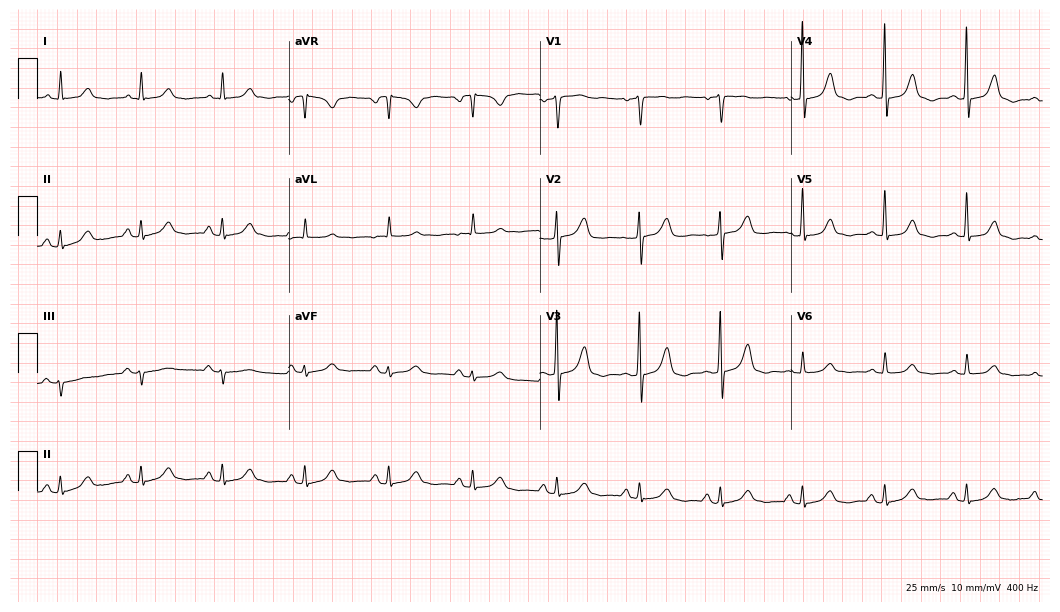
Electrocardiogram, an 82-year-old female. Of the six screened findings (first-degree AV block, right bundle branch block, left bundle branch block, sinus bradycardia, atrial fibrillation, sinus tachycardia), none is recorded.